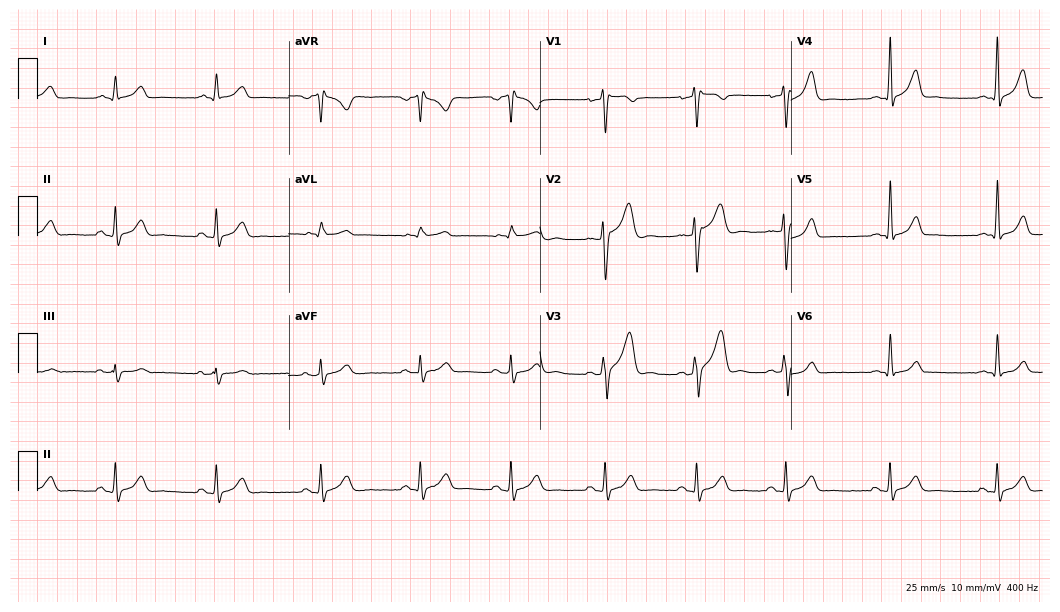
Electrocardiogram (10.2-second recording at 400 Hz), a male, 25 years old. Of the six screened findings (first-degree AV block, right bundle branch block, left bundle branch block, sinus bradycardia, atrial fibrillation, sinus tachycardia), none is recorded.